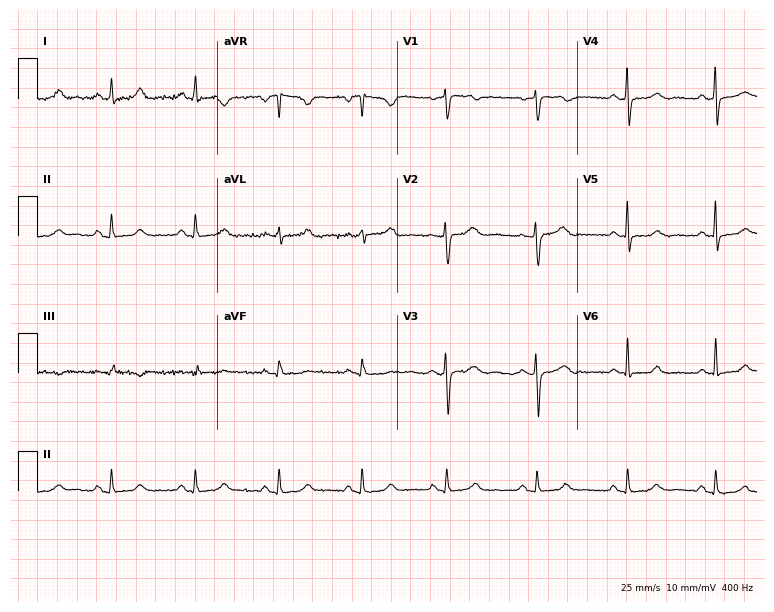
Electrocardiogram (7.3-second recording at 400 Hz), a woman, 39 years old. Overall reading on record: normal ECG.